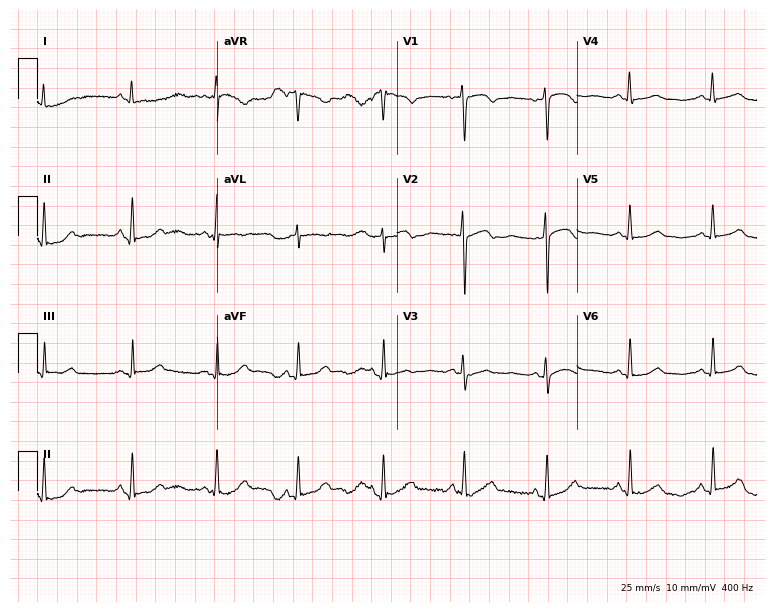
12-lead ECG from a 54-year-old female. Recorded interpretation: within normal limits.